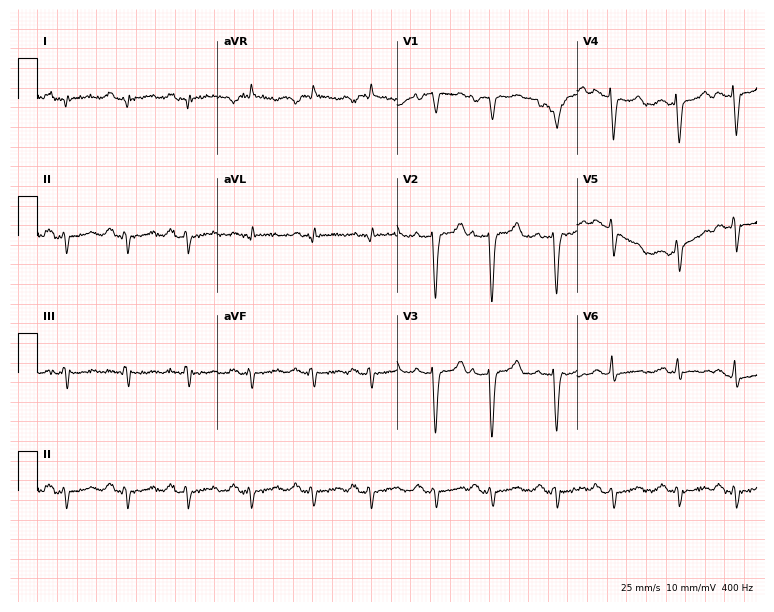
ECG — a 53-year-old woman. Screened for six findings — first-degree AV block, right bundle branch block, left bundle branch block, sinus bradycardia, atrial fibrillation, sinus tachycardia — none is recorded.